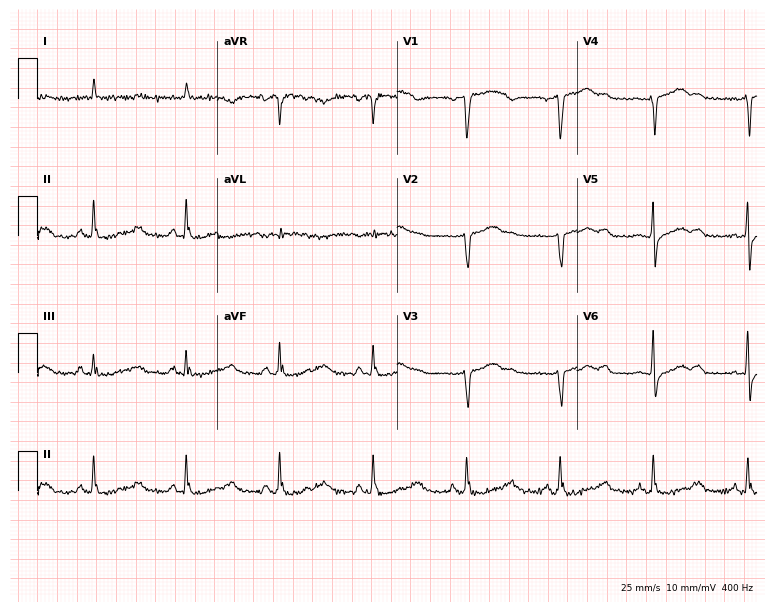
ECG — a 62-year-old male patient. Screened for six findings — first-degree AV block, right bundle branch block (RBBB), left bundle branch block (LBBB), sinus bradycardia, atrial fibrillation (AF), sinus tachycardia — none is recorded.